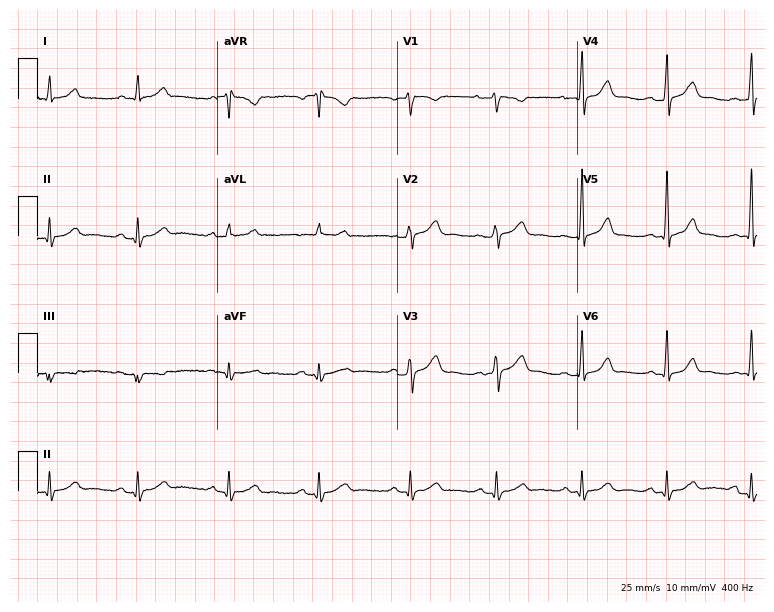
Standard 12-lead ECG recorded from a woman, 44 years old. None of these six findings is recorded: first-degree AV block, right bundle branch block, left bundle branch block, sinus bradycardia, atrial fibrillation, sinus tachycardia.